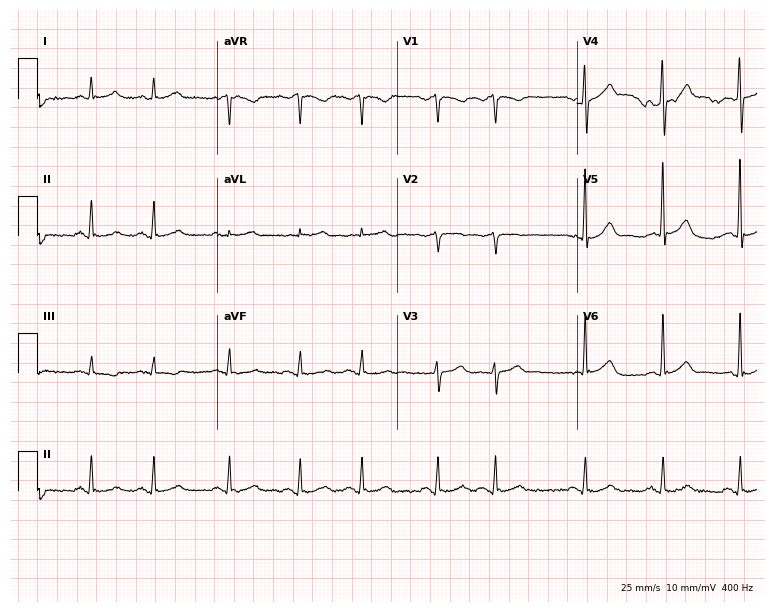
ECG — a 76-year-old male. Labelled as a normal ECG.